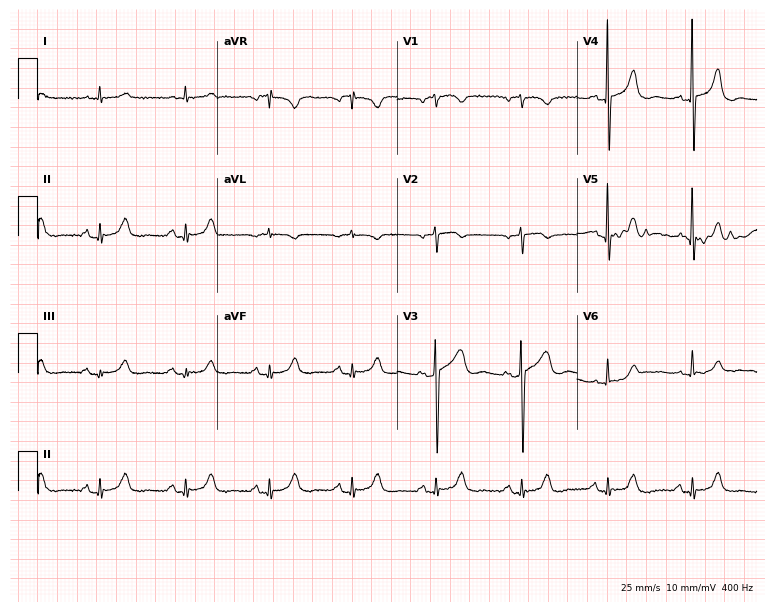
12-lead ECG (7.3-second recording at 400 Hz) from an 84-year-old woman. Labelled as a normal ECG.